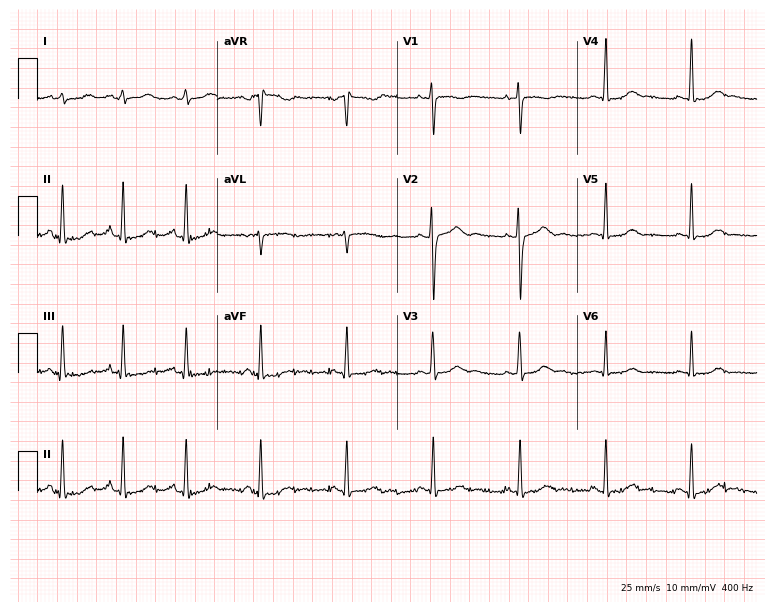
ECG — a 21-year-old female. Screened for six findings — first-degree AV block, right bundle branch block, left bundle branch block, sinus bradycardia, atrial fibrillation, sinus tachycardia — none is recorded. Only these six findings were labelled.